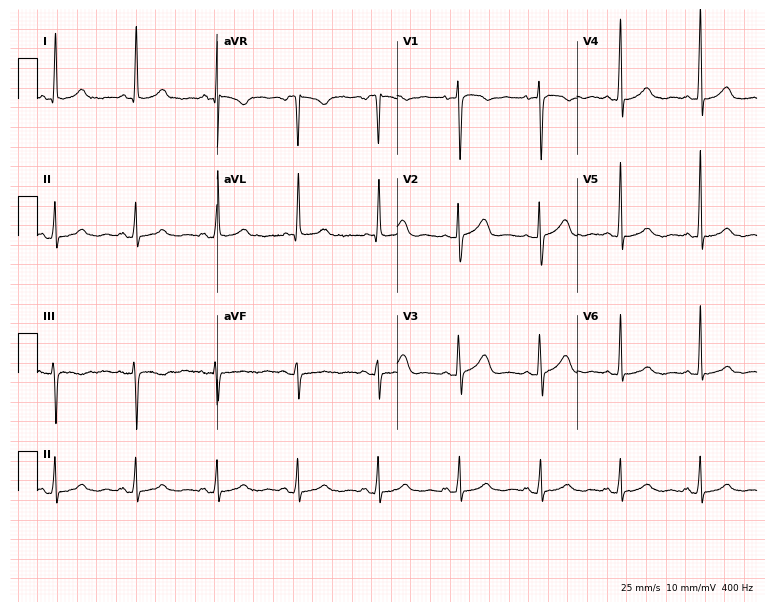
ECG (7.3-second recording at 400 Hz) — a 59-year-old female patient. Screened for six findings — first-degree AV block, right bundle branch block (RBBB), left bundle branch block (LBBB), sinus bradycardia, atrial fibrillation (AF), sinus tachycardia — none is recorded.